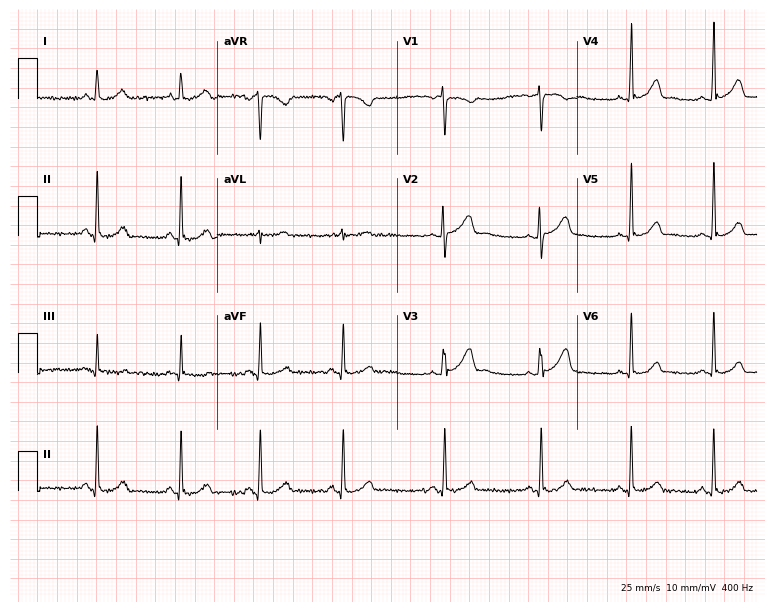
12-lead ECG from a female patient, 25 years old (7.3-second recording at 400 Hz). Recorded interpretation: within normal limits.